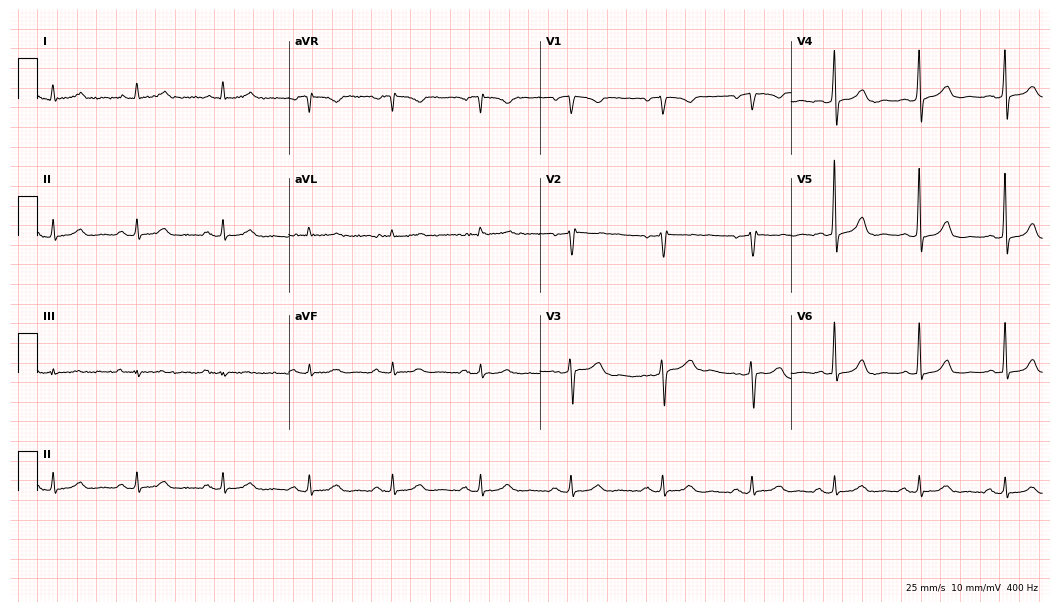
Resting 12-lead electrocardiogram (10.2-second recording at 400 Hz). Patient: a 63-year-old woman. None of these six findings is recorded: first-degree AV block, right bundle branch block, left bundle branch block, sinus bradycardia, atrial fibrillation, sinus tachycardia. Only these six findings were labelled.